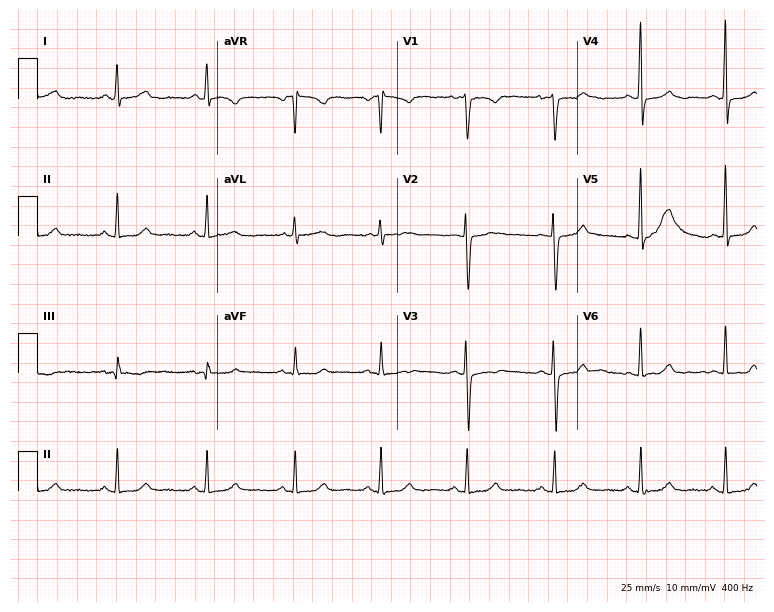
Electrocardiogram (7.3-second recording at 400 Hz), a female, 53 years old. Of the six screened findings (first-degree AV block, right bundle branch block, left bundle branch block, sinus bradycardia, atrial fibrillation, sinus tachycardia), none is recorded.